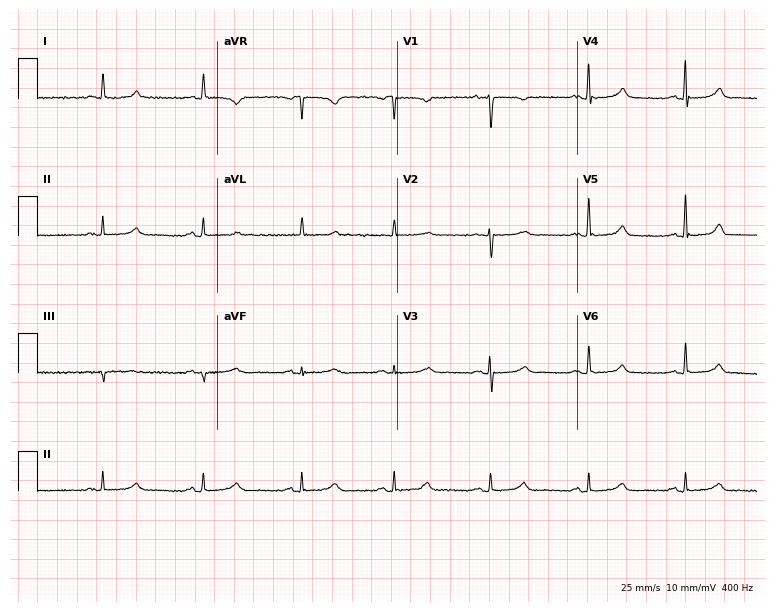
Resting 12-lead electrocardiogram. Patient: a female, 69 years old. Read as a normal ECG.